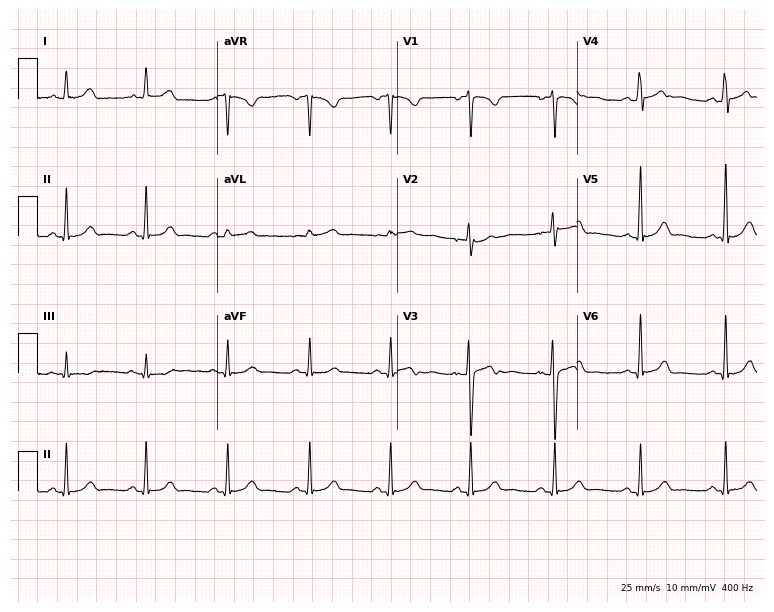
Resting 12-lead electrocardiogram (7.3-second recording at 400 Hz). Patient: a 32-year-old female. Read as a normal ECG.